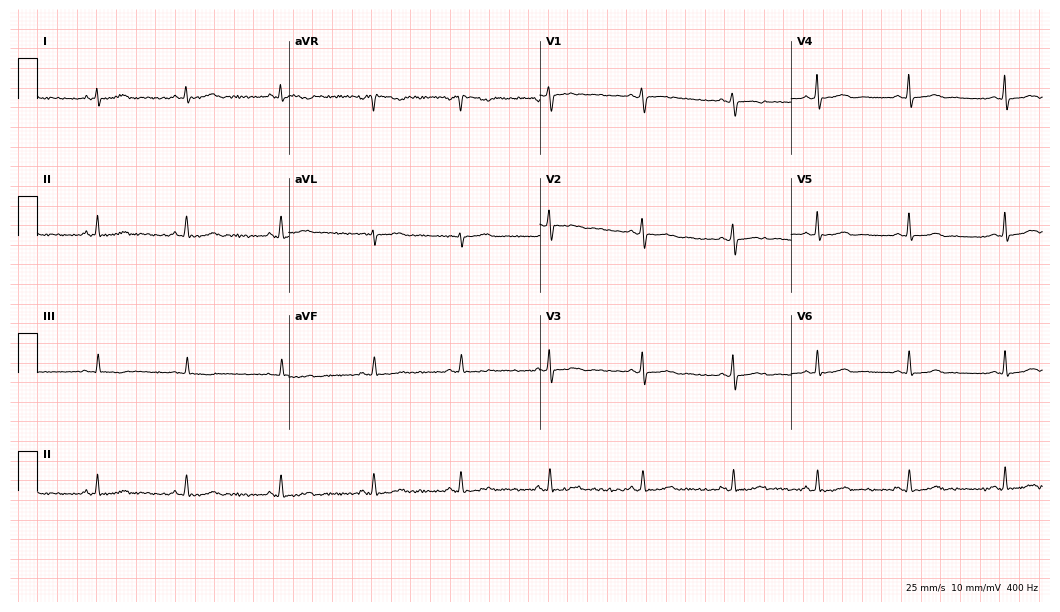
12-lead ECG from a female, 33 years old. Screened for six findings — first-degree AV block, right bundle branch block, left bundle branch block, sinus bradycardia, atrial fibrillation, sinus tachycardia — none is recorded. Only these six findings were labelled.